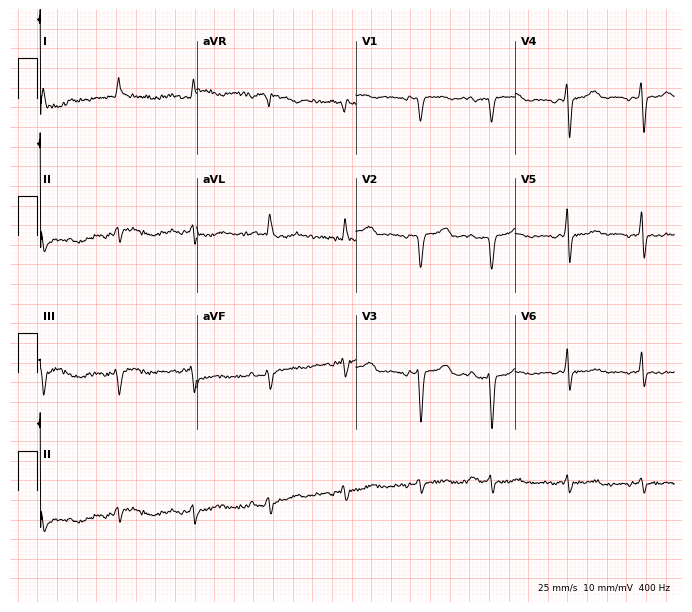
Resting 12-lead electrocardiogram. Patient: a man, 84 years old. None of these six findings is recorded: first-degree AV block, right bundle branch block, left bundle branch block, sinus bradycardia, atrial fibrillation, sinus tachycardia. Other findings, if any, are not listed.